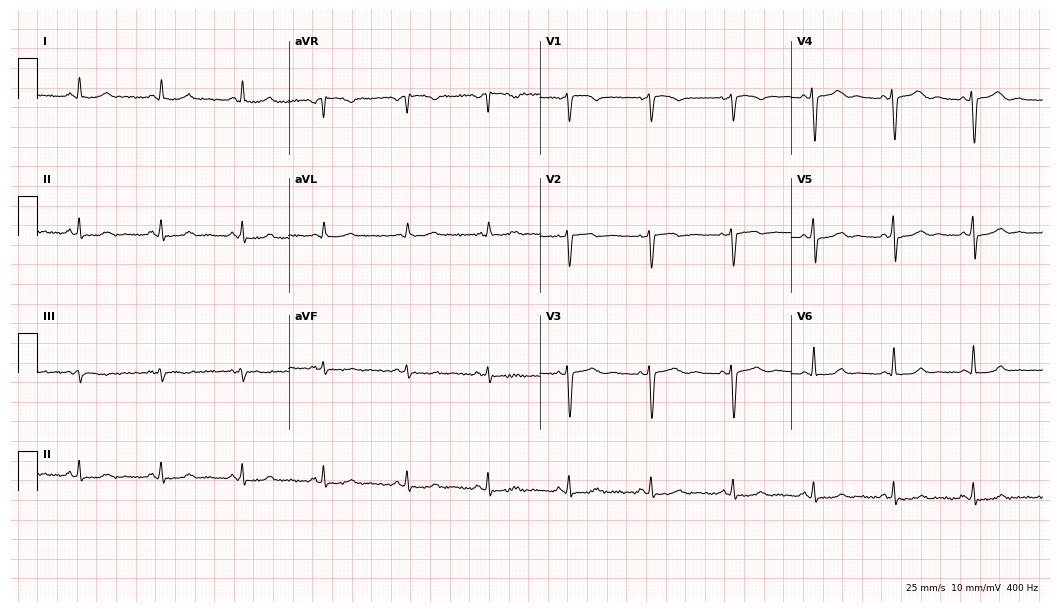
Standard 12-lead ECG recorded from a 47-year-old female. None of these six findings is recorded: first-degree AV block, right bundle branch block, left bundle branch block, sinus bradycardia, atrial fibrillation, sinus tachycardia.